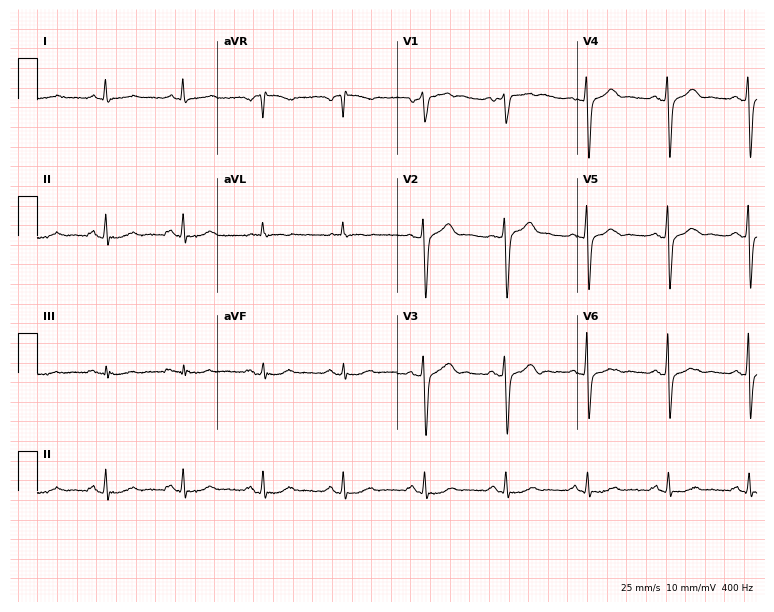
Resting 12-lead electrocardiogram. Patient: a man, 73 years old. None of these six findings is recorded: first-degree AV block, right bundle branch block, left bundle branch block, sinus bradycardia, atrial fibrillation, sinus tachycardia. Other findings, if any, are not listed.